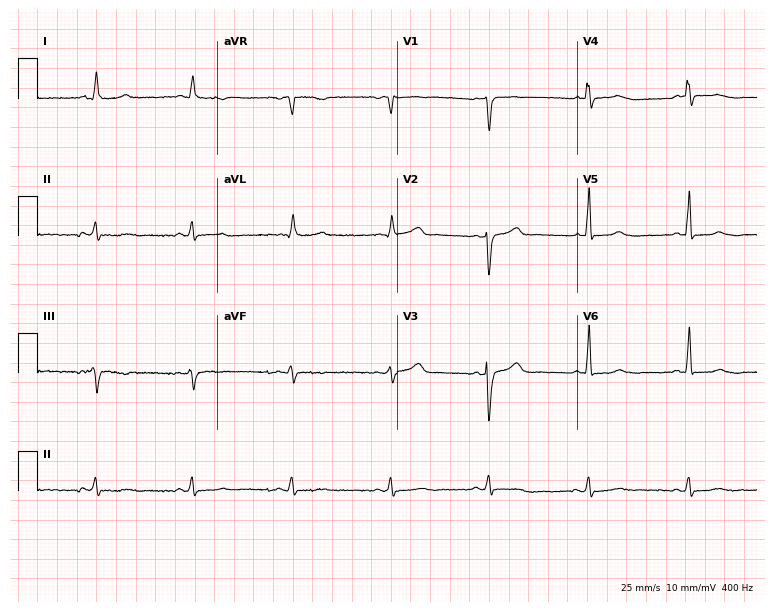
Standard 12-lead ECG recorded from a woman, 78 years old. None of these six findings is recorded: first-degree AV block, right bundle branch block (RBBB), left bundle branch block (LBBB), sinus bradycardia, atrial fibrillation (AF), sinus tachycardia.